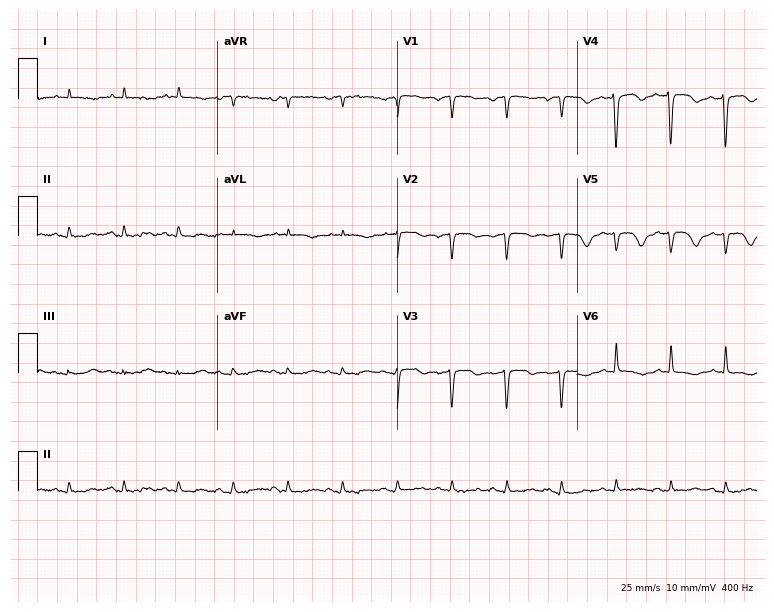
12-lead ECG from a female patient, 79 years old. Findings include sinus tachycardia (a sinus rate of 100 beats per minute or more).